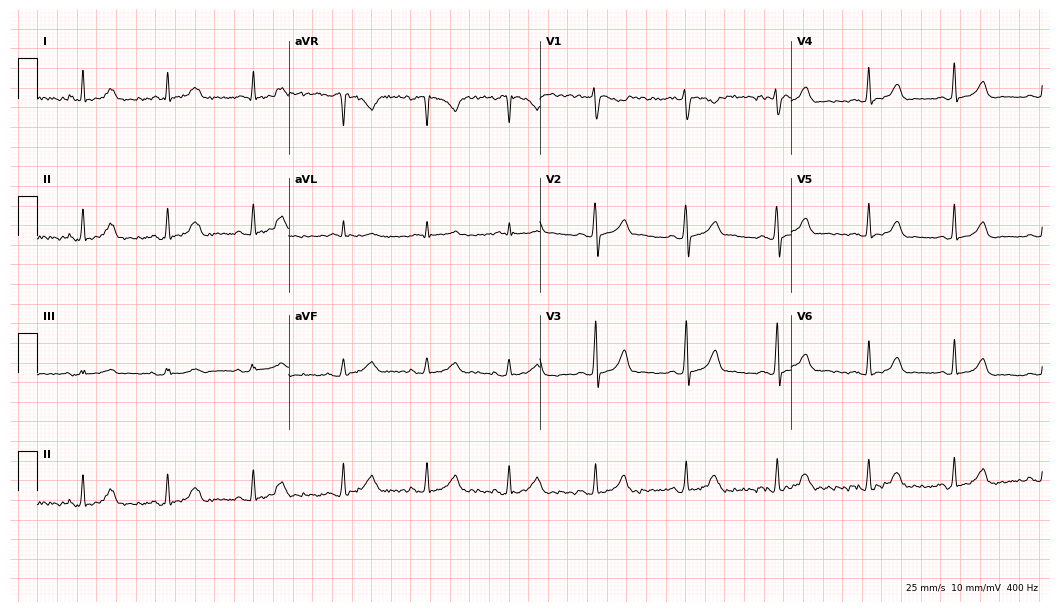
Electrocardiogram (10.2-second recording at 400 Hz), a 30-year-old female patient. Overall reading on record: normal ECG.